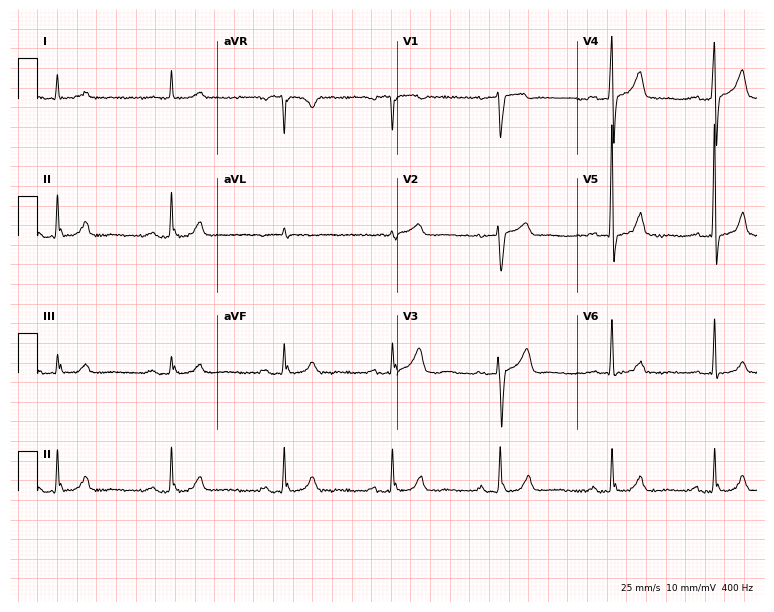
Electrocardiogram, a male, 61 years old. Interpretation includes first-degree AV block.